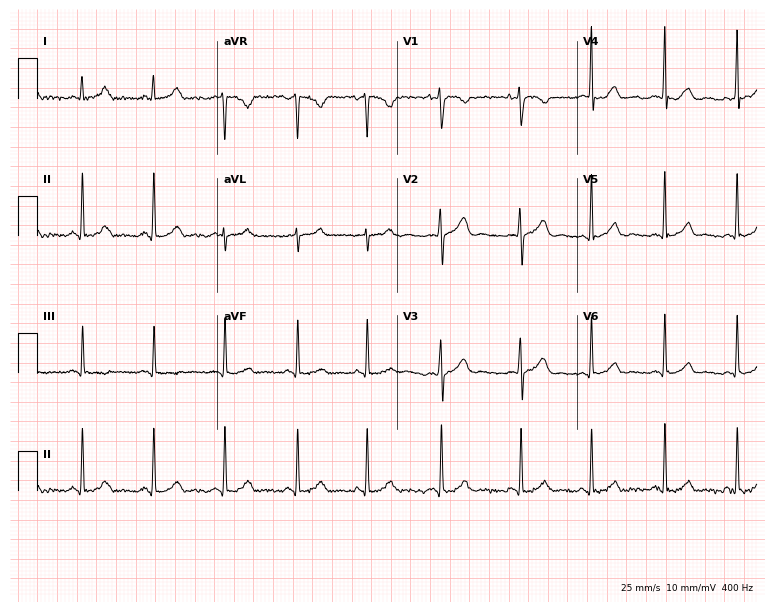
12-lead ECG from an 18-year-old female patient (7.3-second recording at 400 Hz). No first-degree AV block, right bundle branch block (RBBB), left bundle branch block (LBBB), sinus bradycardia, atrial fibrillation (AF) or sinus tachycardia recorded for this tracing.